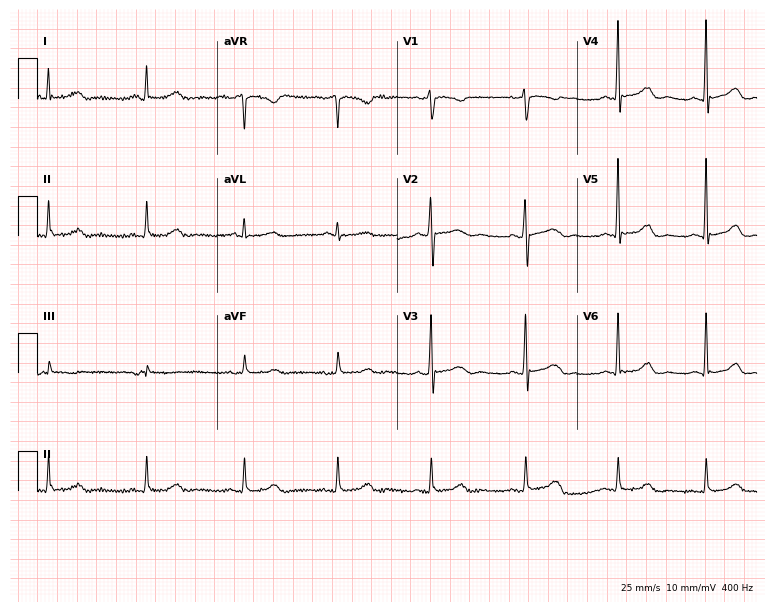
Standard 12-lead ECG recorded from a female, 55 years old. Read as a normal ECG.